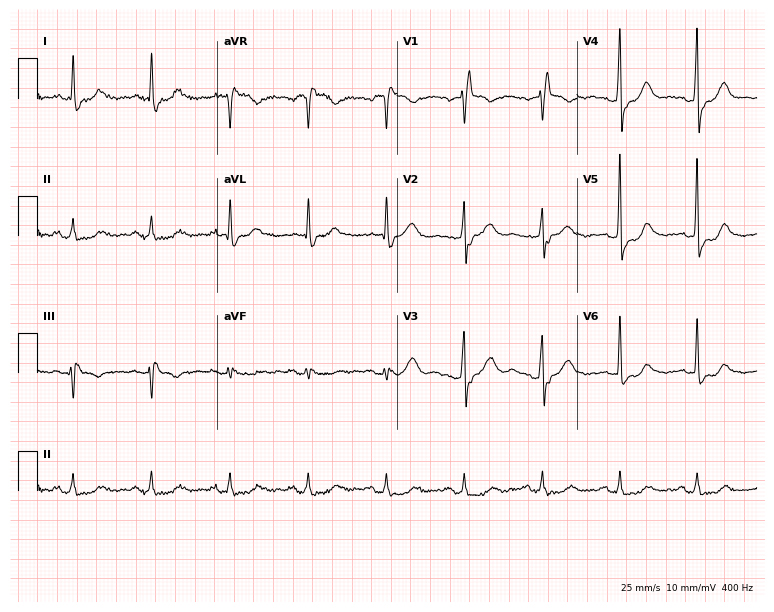
Electrocardiogram (7.3-second recording at 400 Hz), a 77-year-old man. Interpretation includes right bundle branch block (RBBB).